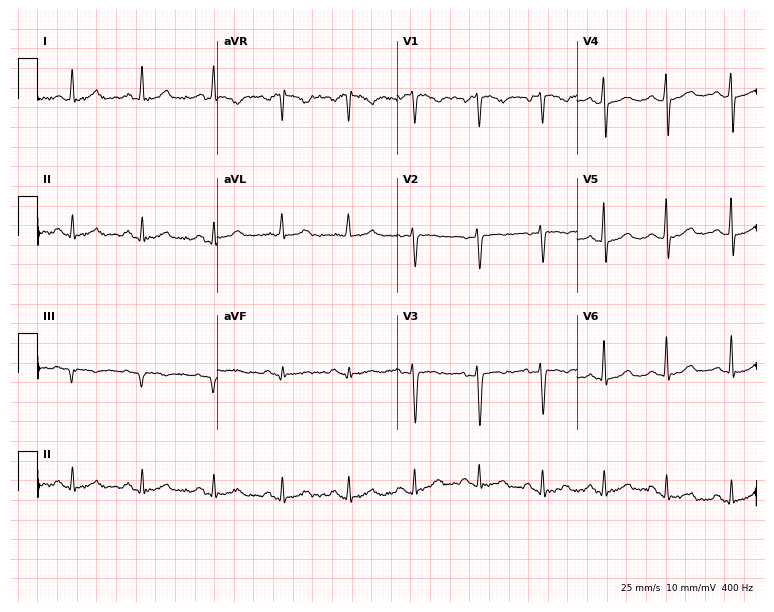
12-lead ECG from a 41-year-old female patient (7.3-second recording at 400 Hz). No first-degree AV block, right bundle branch block, left bundle branch block, sinus bradycardia, atrial fibrillation or sinus tachycardia recorded for this tracing.